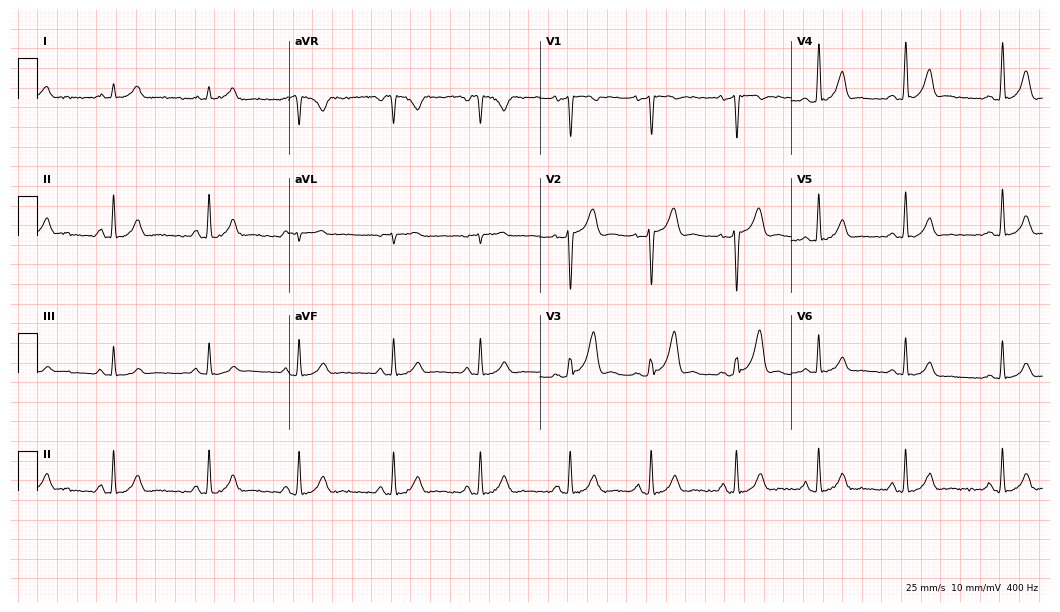
12-lead ECG from a male, 23 years old. Recorded interpretation: within normal limits.